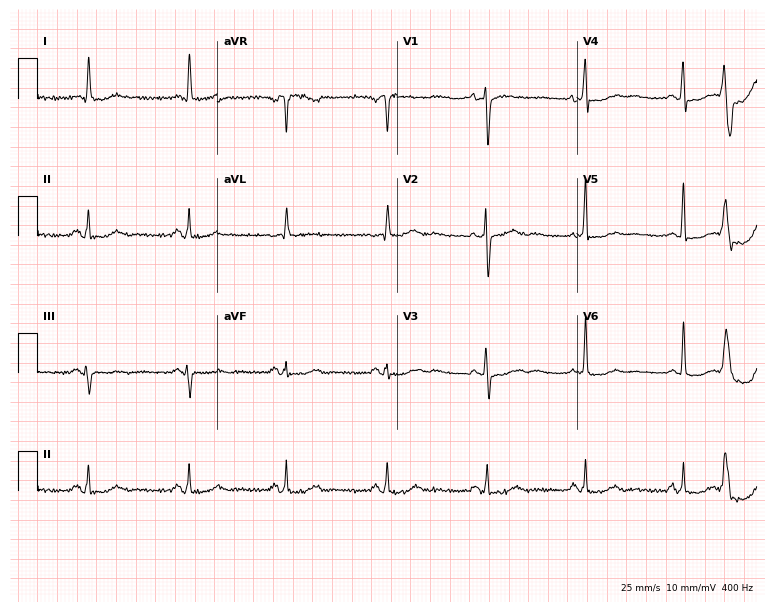
12-lead ECG from a 78-year-old female. No first-degree AV block, right bundle branch block, left bundle branch block, sinus bradycardia, atrial fibrillation or sinus tachycardia recorded for this tracing.